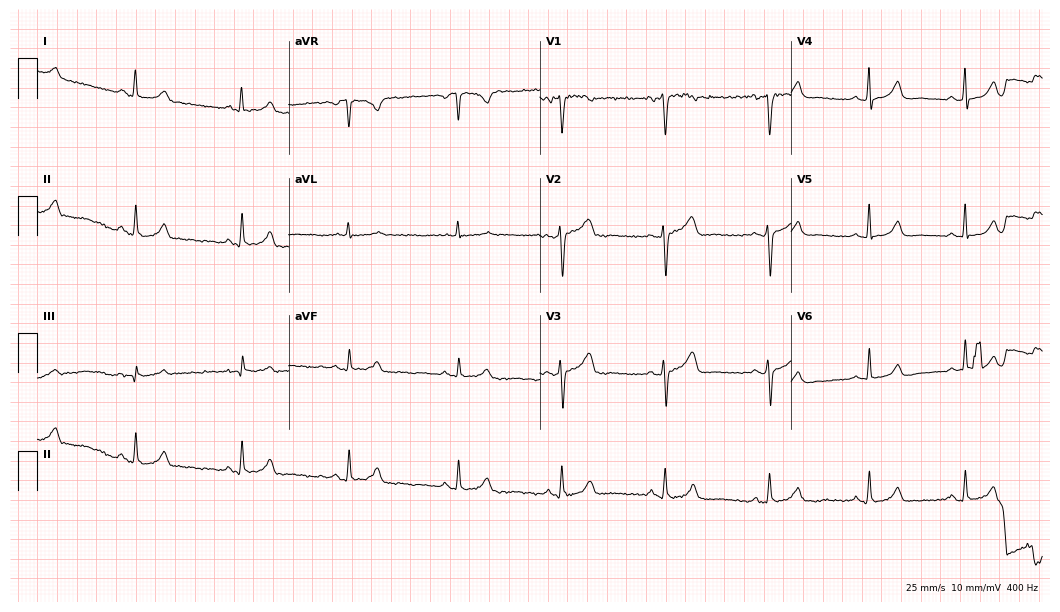
ECG — a 51-year-old female. Labelled as a normal ECG.